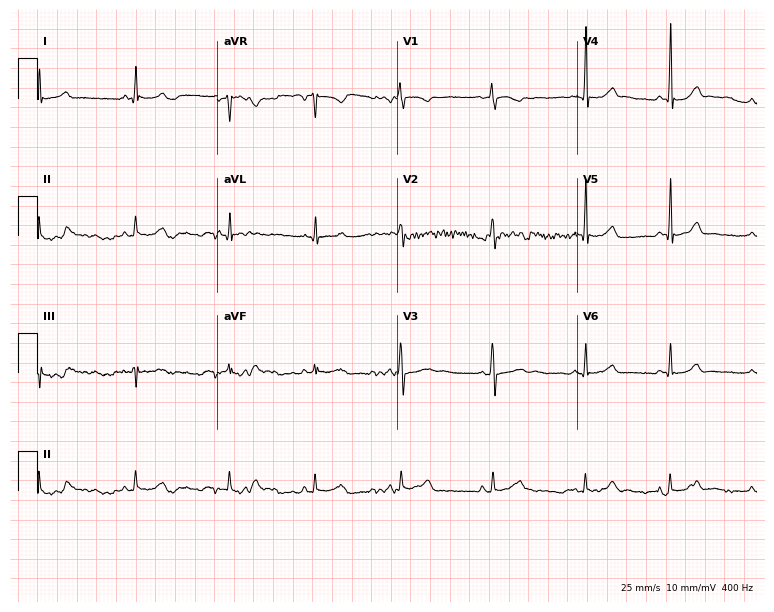
12-lead ECG from a female patient, 19 years old. Recorded interpretation: within normal limits.